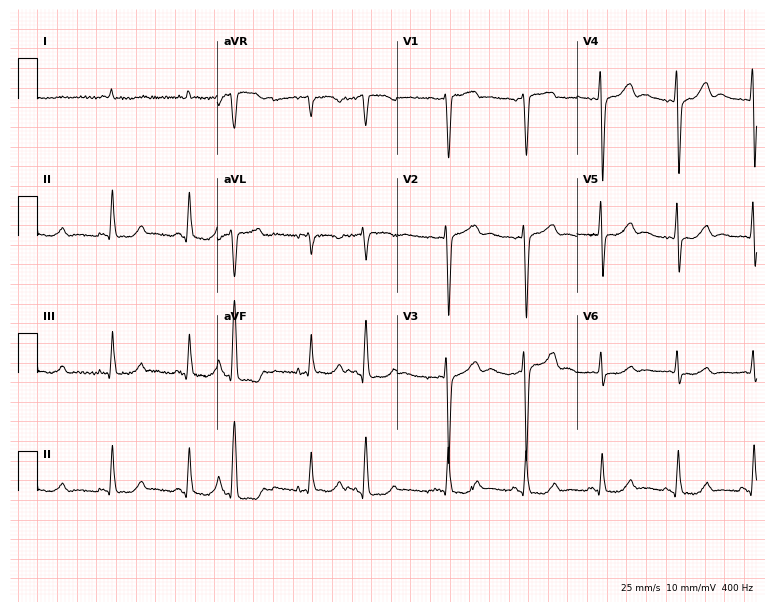
Resting 12-lead electrocardiogram (7.3-second recording at 400 Hz). Patient: a male, 74 years old. None of these six findings is recorded: first-degree AV block, right bundle branch block (RBBB), left bundle branch block (LBBB), sinus bradycardia, atrial fibrillation (AF), sinus tachycardia.